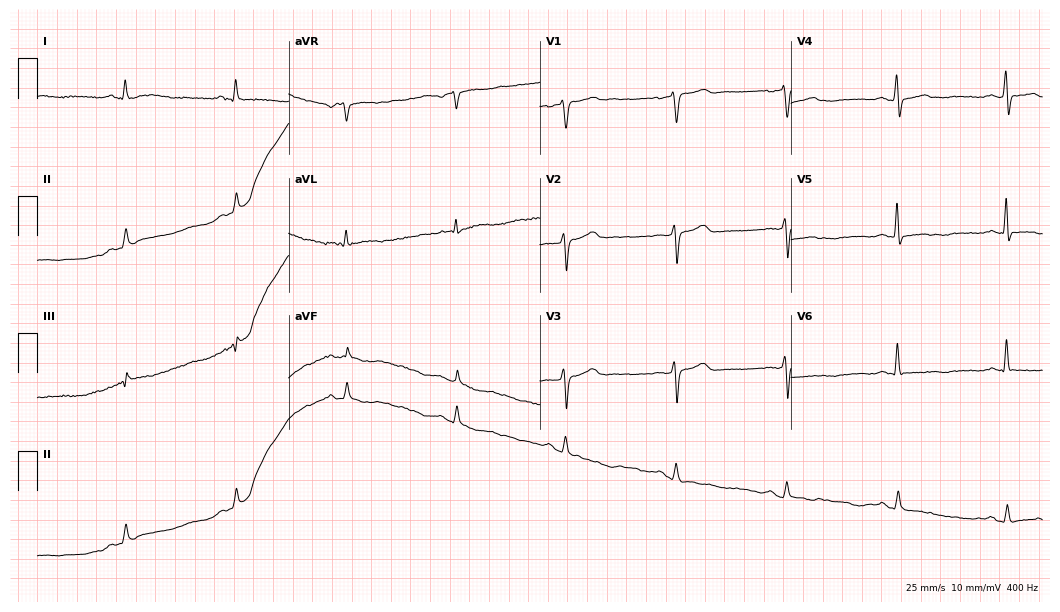
Electrocardiogram (10.2-second recording at 400 Hz), a 62-year-old man. Of the six screened findings (first-degree AV block, right bundle branch block, left bundle branch block, sinus bradycardia, atrial fibrillation, sinus tachycardia), none is recorded. Only these six findings were labelled.